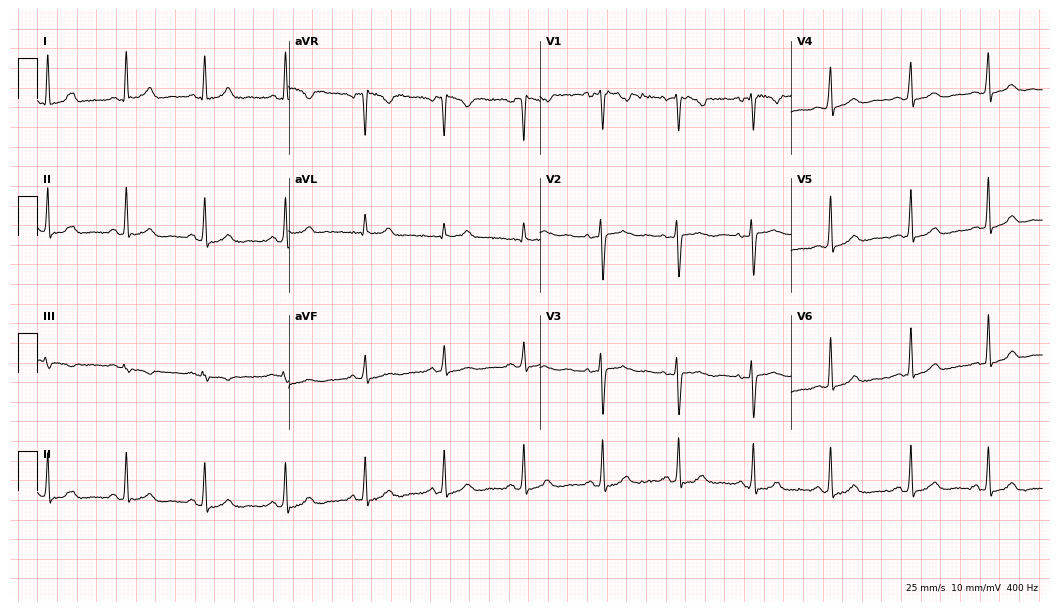
12-lead ECG from a 33-year-old woman. Labelled as a normal ECG.